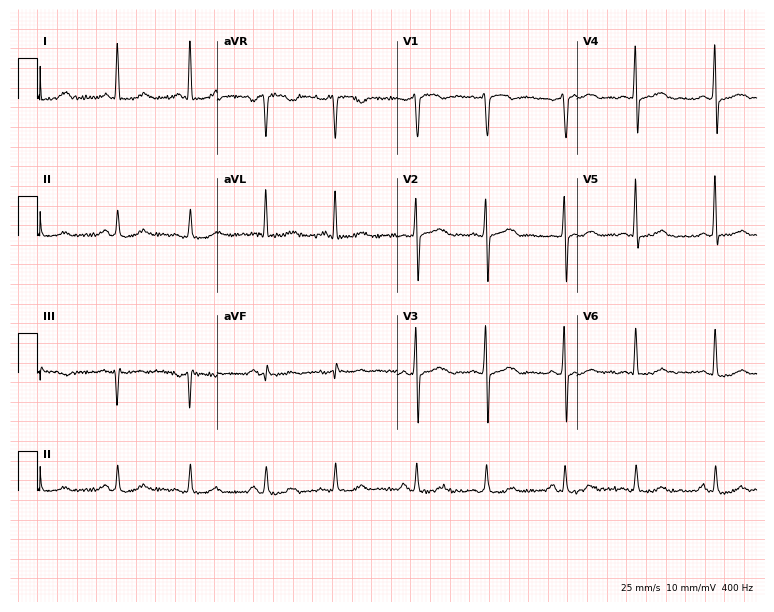
12-lead ECG from a 76-year-old man. Recorded interpretation: within normal limits.